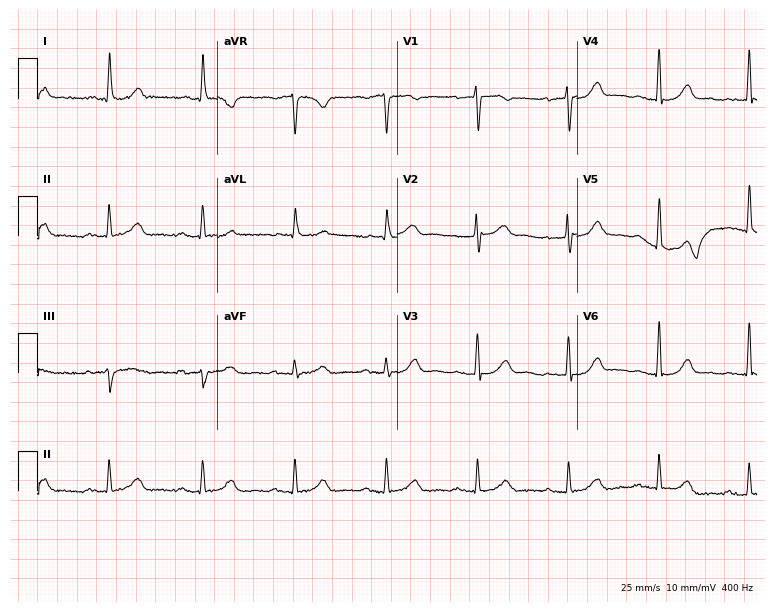
Resting 12-lead electrocardiogram. Patient: a 76-year-old female. The tracing shows first-degree AV block.